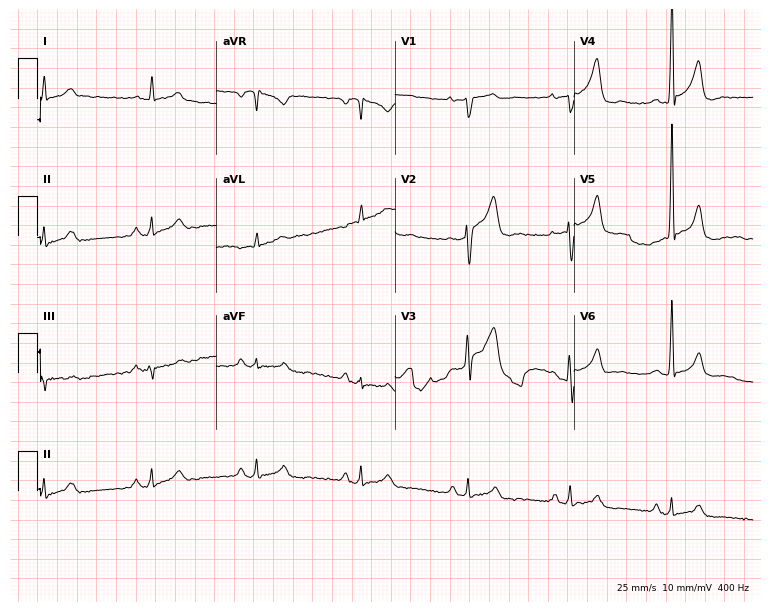
Standard 12-lead ECG recorded from a man, 52 years old (7.3-second recording at 400 Hz). Read as a normal ECG.